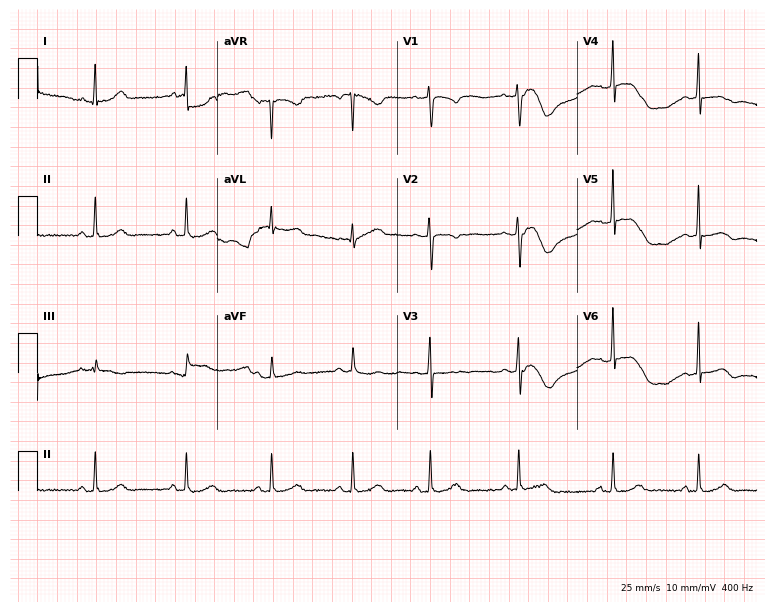
12-lead ECG from a 40-year-old female patient (7.3-second recording at 400 Hz). No first-degree AV block, right bundle branch block, left bundle branch block, sinus bradycardia, atrial fibrillation or sinus tachycardia recorded for this tracing.